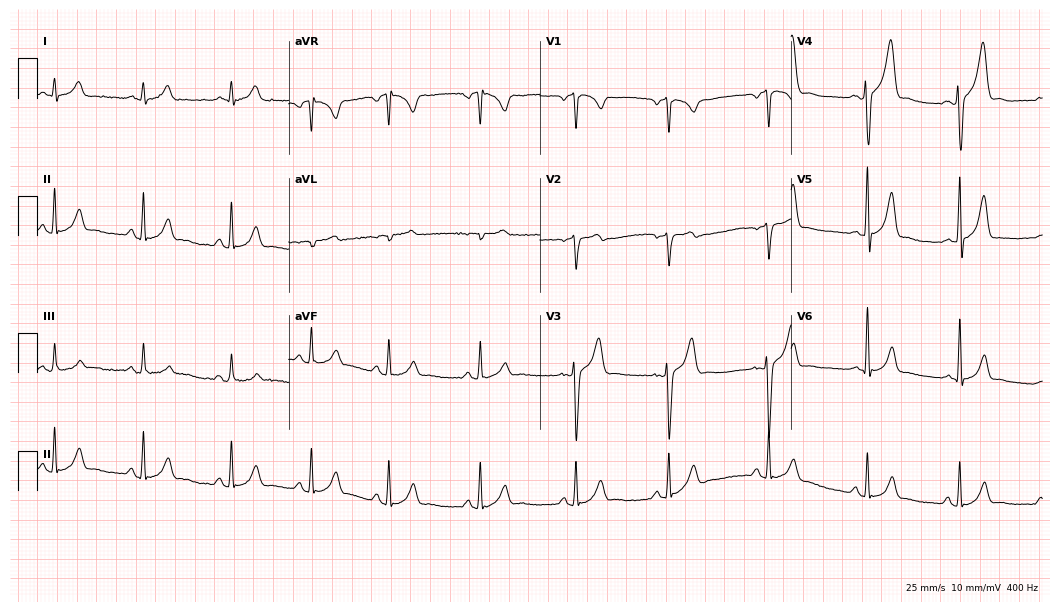
12-lead ECG from a male, 25 years old (10.2-second recording at 400 Hz). Recorded interpretation: within normal limits.